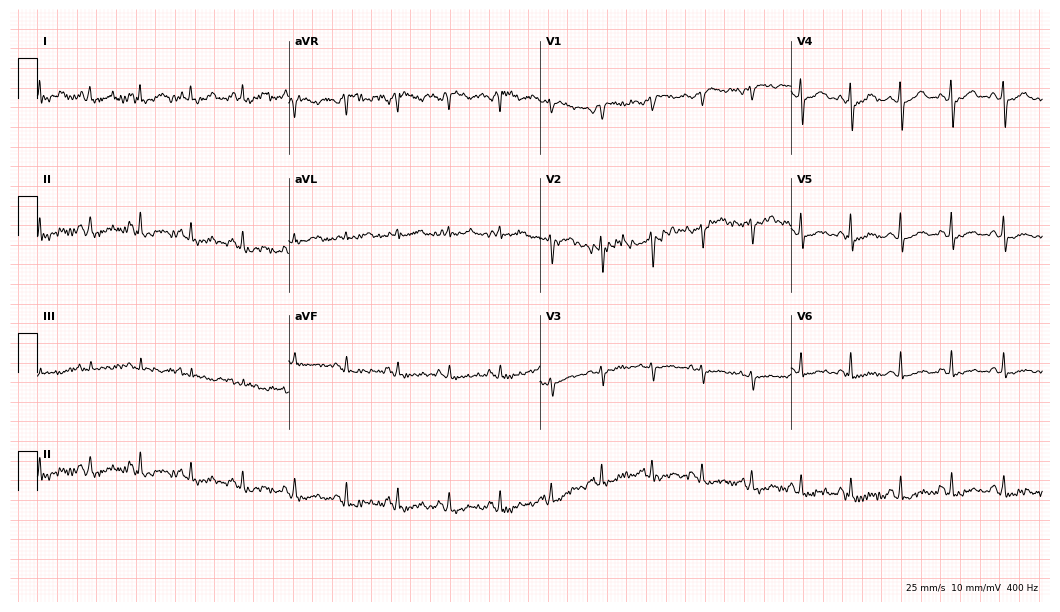
12-lead ECG from a 39-year-old woman. No first-degree AV block, right bundle branch block, left bundle branch block, sinus bradycardia, atrial fibrillation or sinus tachycardia recorded for this tracing.